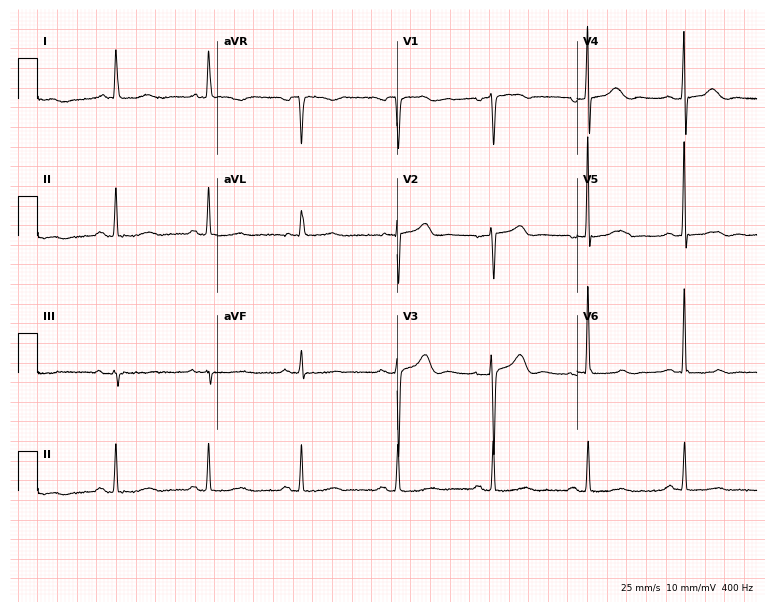
12-lead ECG (7.3-second recording at 400 Hz) from a female patient, 80 years old. Screened for six findings — first-degree AV block, right bundle branch block, left bundle branch block, sinus bradycardia, atrial fibrillation, sinus tachycardia — none is recorded. Other findings, if any, are not listed.